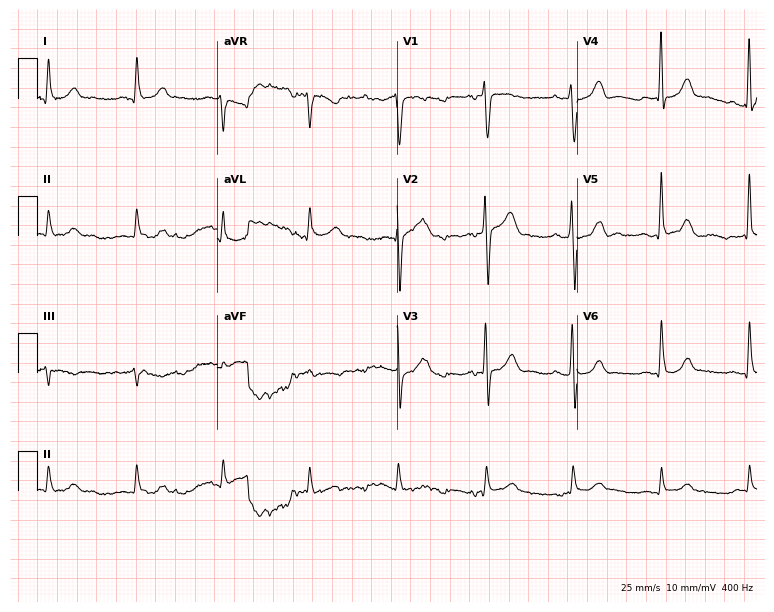
ECG (7.3-second recording at 400 Hz) — a male patient, 82 years old. Screened for six findings — first-degree AV block, right bundle branch block, left bundle branch block, sinus bradycardia, atrial fibrillation, sinus tachycardia — none is recorded.